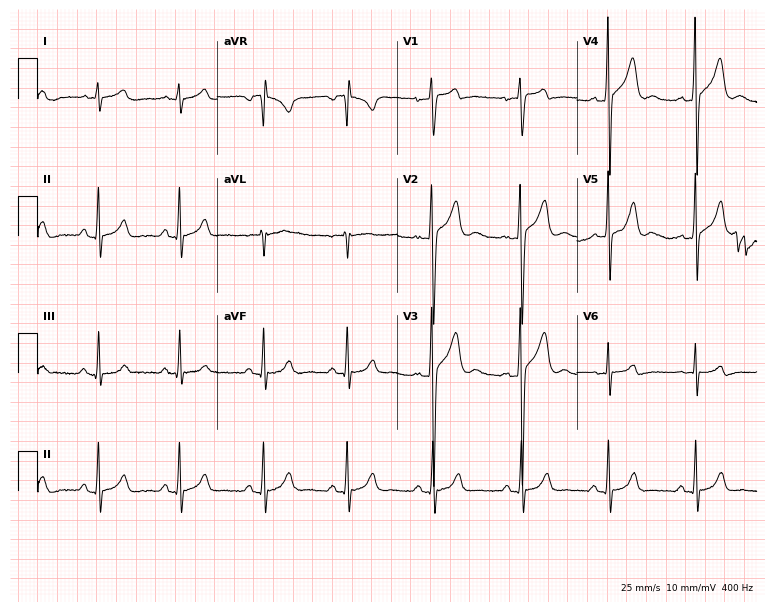
Resting 12-lead electrocardiogram. Patient: a 22-year-old male. Read as a normal ECG.